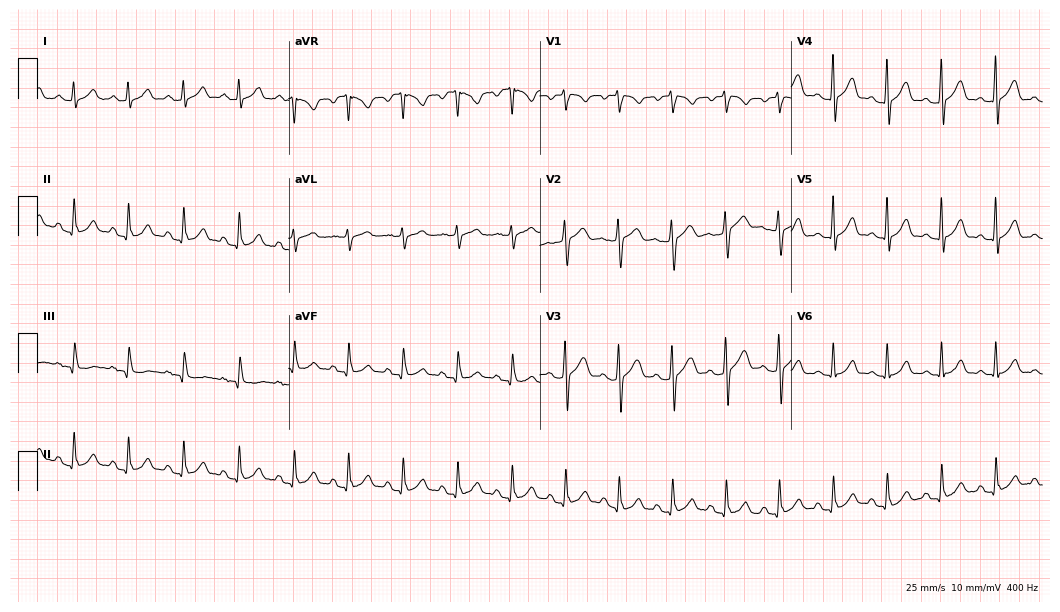
Resting 12-lead electrocardiogram (10.2-second recording at 400 Hz). Patient: a 41-year-old woman. The tracing shows sinus tachycardia (a sinus rate of 100 beats per minute or more).